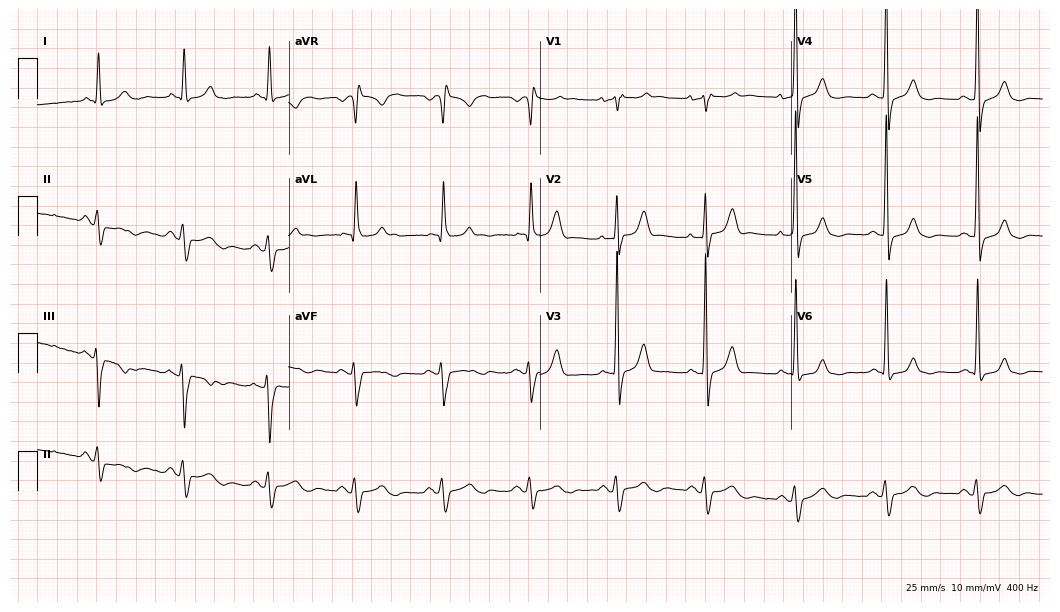
12-lead ECG from a male, 71 years old. No first-degree AV block, right bundle branch block, left bundle branch block, sinus bradycardia, atrial fibrillation or sinus tachycardia recorded for this tracing.